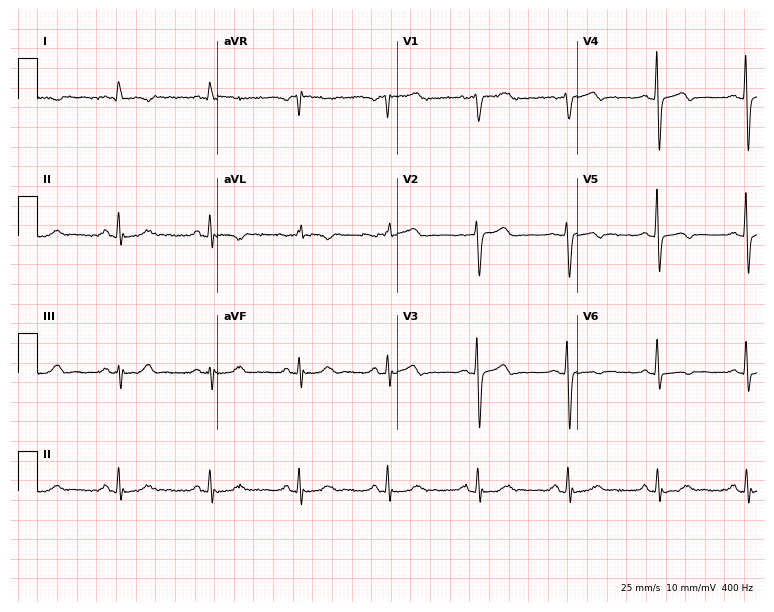
ECG — a 70-year-old female. Screened for six findings — first-degree AV block, right bundle branch block, left bundle branch block, sinus bradycardia, atrial fibrillation, sinus tachycardia — none is recorded. Only these six findings were labelled.